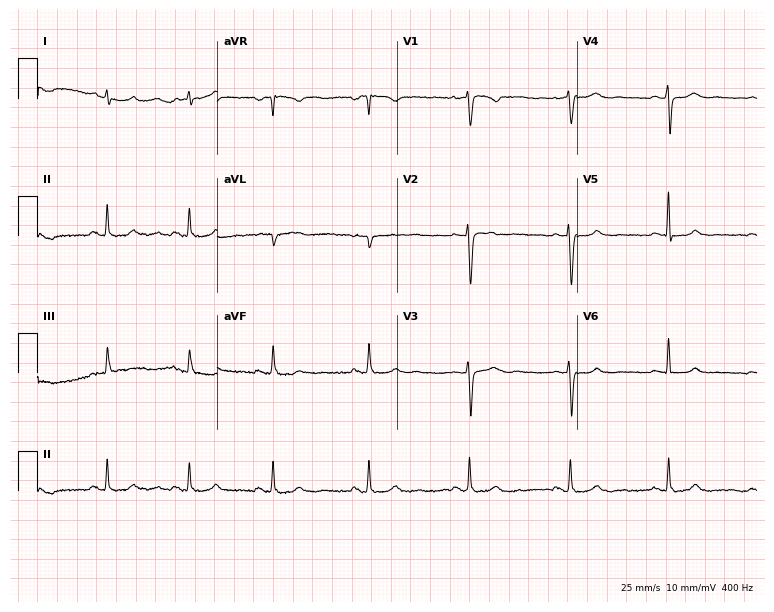
12-lead ECG (7.3-second recording at 400 Hz) from a 28-year-old female. Screened for six findings — first-degree AV block, right bundle branch block, left bundle branch block, sinus bradycardia, atrial fibrillation, sinus tachycardia — none is recorded.